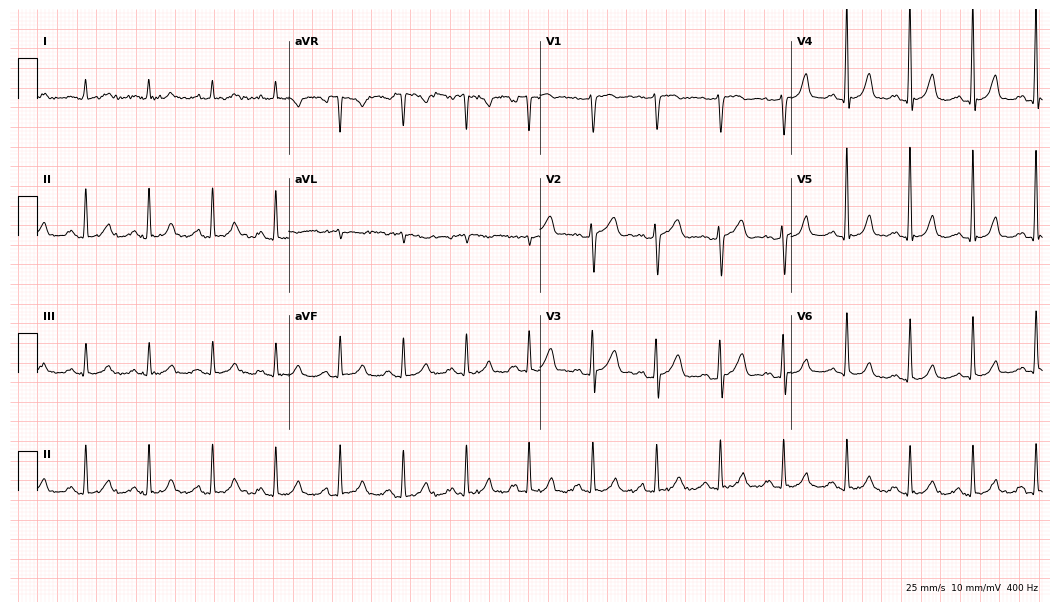
Standard 12-lead ECG recorded from a male patient, 66 years old. Read as a normal ECG.